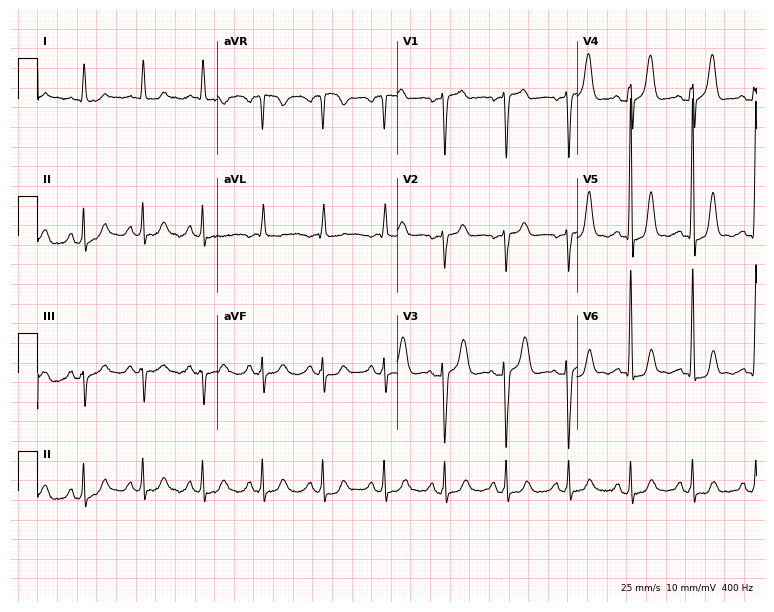
Electrocardiogram, a woman, 75 years old. Of the six screened findings (first-degree AV block, right bundle branch block, left bundle branch block, sinus bradycardia, atrial fibrillation, sinus tachycardia), none is recorded. Other findings, if any, are not listed.